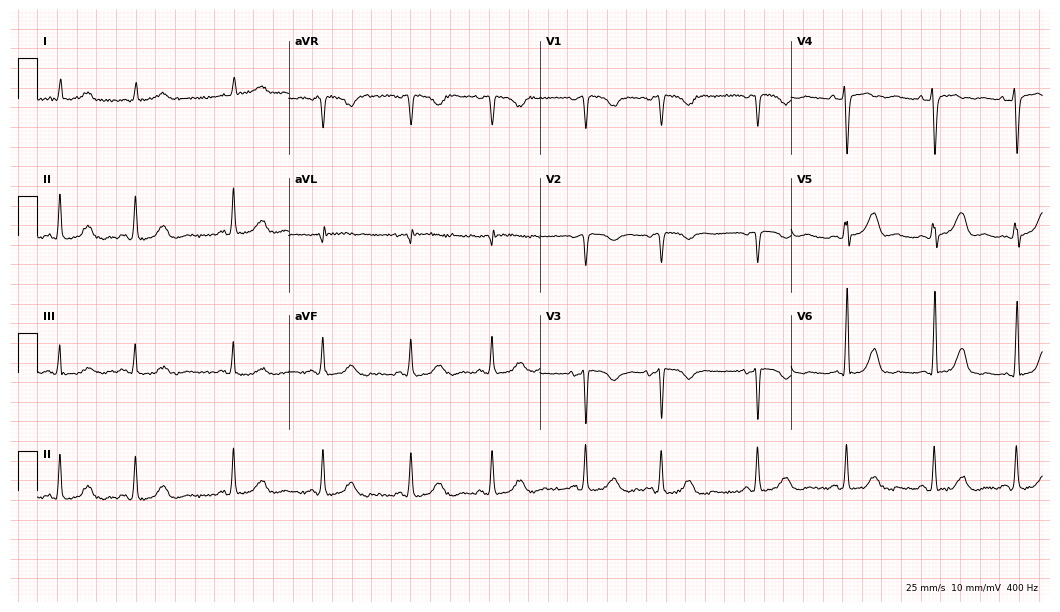
Electrocardiogram, a woman, 79 years old. Of the six screened findings (first-degree AV block, right bundle branch block, left bundle branch block, sinus bradycardia, atrial fibrillation, sinus tachycardia), none is recorded. Other findings, if any, are not listed.